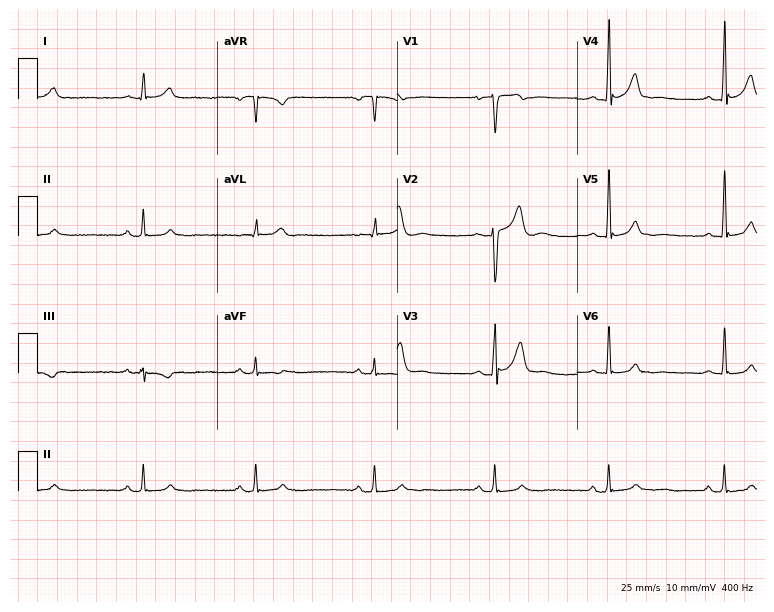
Electrocardiogram (7.3-second recording at 400 Hz), a man, 24 years old. Overall reading on record: normal ECG.